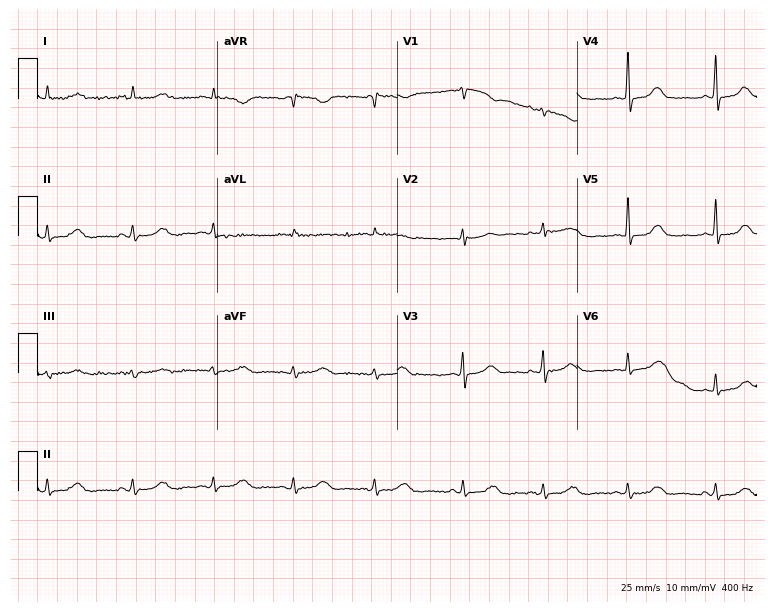
Standard 12-lead ECG recorded from a female patient, 72 years old. None of these six findings is recorded: first-degree AV block, right bundle branch block, left bundle branch block, sinus bradycardia, atrial fibrillation, sinus tachycardia. Only these six findings were labelled.